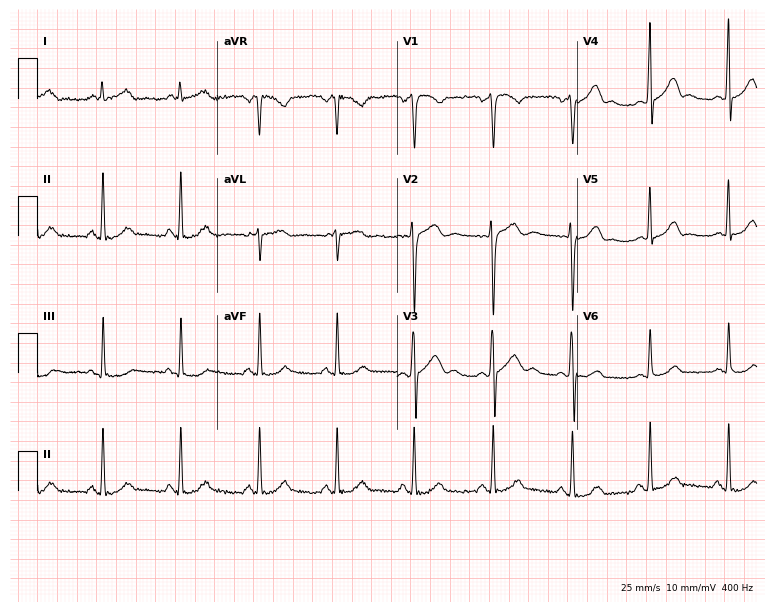
Standard 12-lead ECG recorded from a male, 38 years old (7.3-second recording at 400 Hz). Read as a normal ECG.